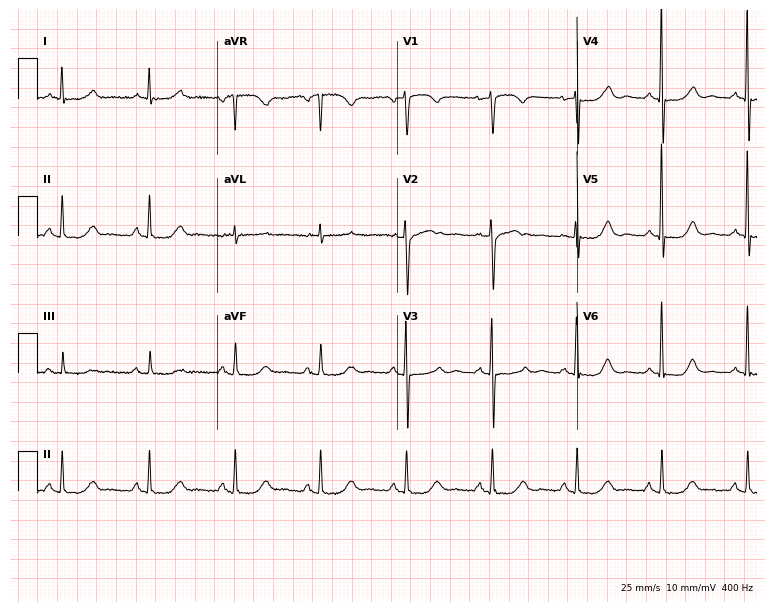
ECG (7.3-second recording at 400 Hz) — a 64-year-old female patient. Labelled as a normal ECG.